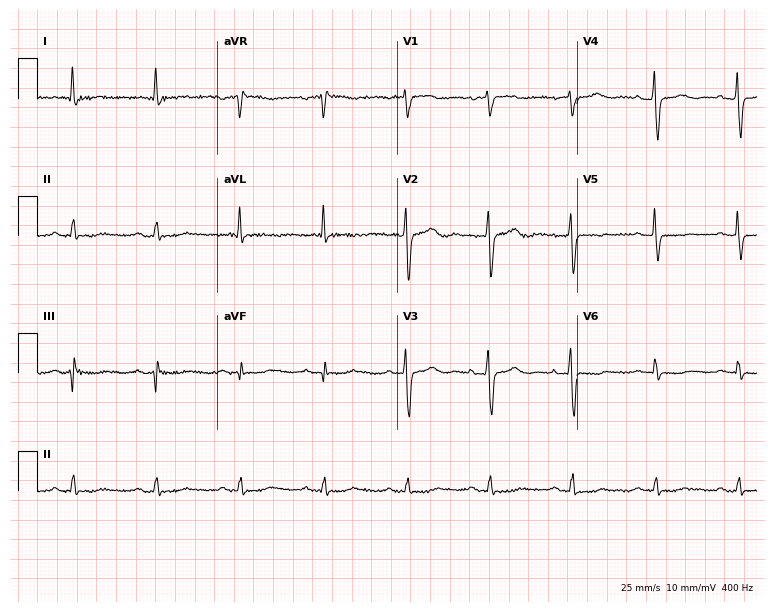
Electrocardiogram, a female, 79 years old. Of the six screened findings (first-degree AV block, right bundle branch block, left bundle branch block, sinus bradycardia, atrial fibrillation, sinus tachycardia), none is recorded.